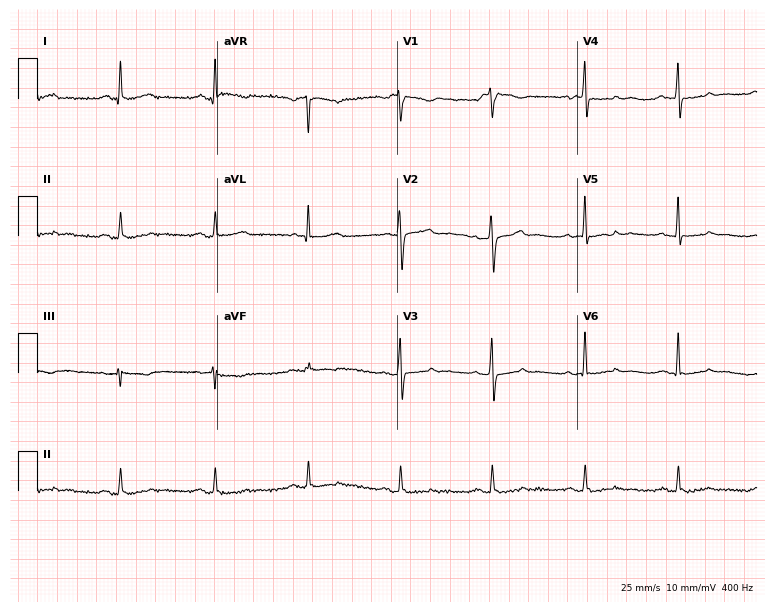
Resting 12-lead electrocardiogram (7.3-second recording at 400 Hz). Patient: a 70-year-old male. Read as a normal ECG.